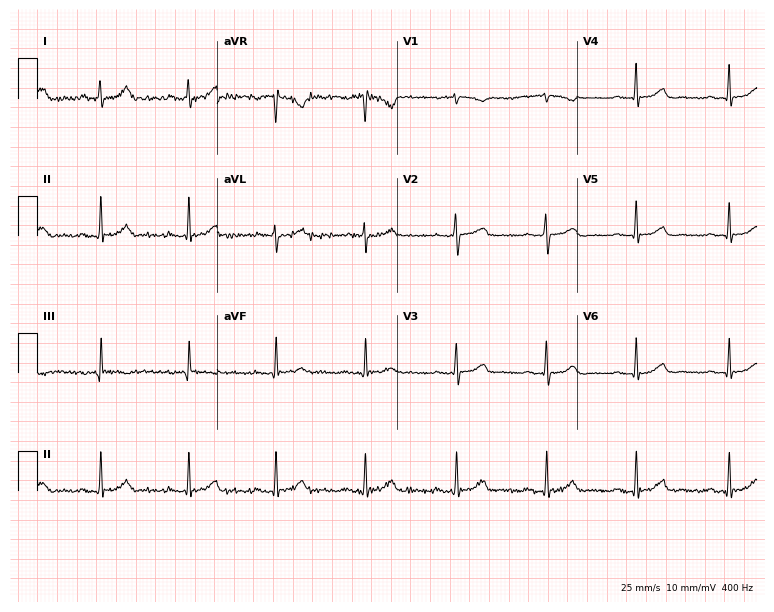
12-lead ECG from a female, 42 years old (7.3-second recording at 400 Hz). No first-degree AV block, right bundle branch block, left bundle branch block, sinus bradycardia, atrial fibrillation or sinus tachycardia recorded for this tracing.